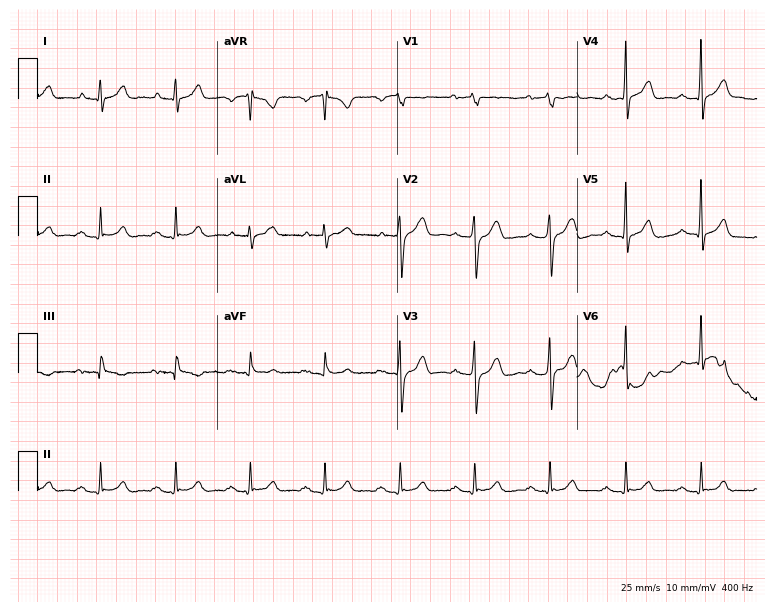
Resting 12-lead electrocardiogram (7.3-second recording at 400 Hz). Patient: a man, 57 years old. The tracing shows first-degree AV block.